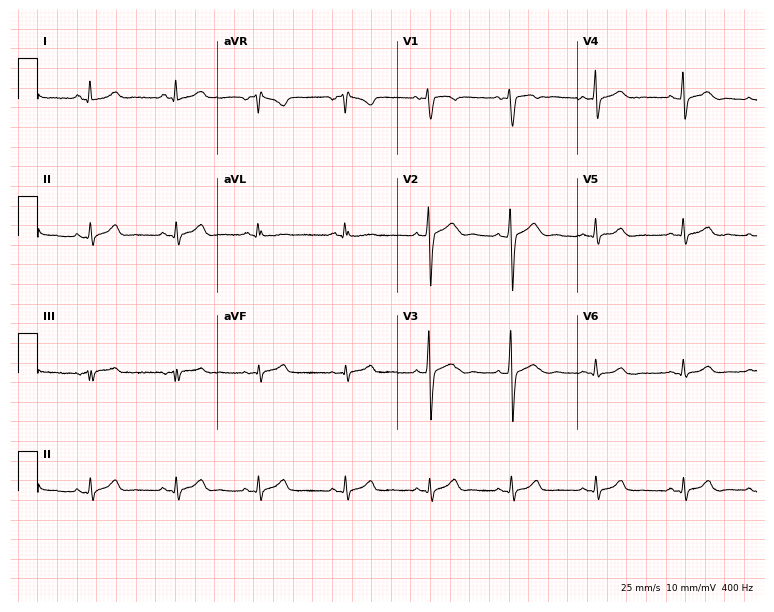
Standard 12-lead ECG recorded from a 41-year-old female (7.3-second recording at 400 Hz). Read as a normal ECG.